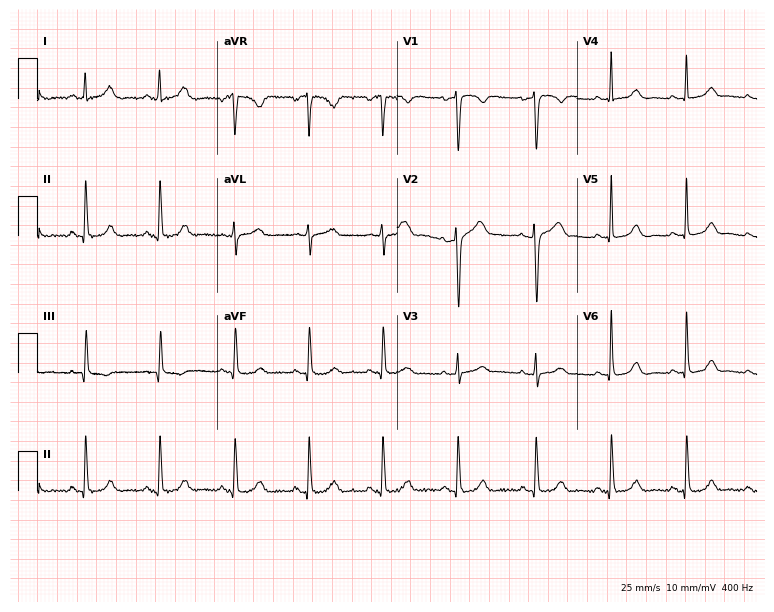
ECG (7.3-second recording at 400 Hz) — a woman, 40 years old. Labelled as a normal ECG.